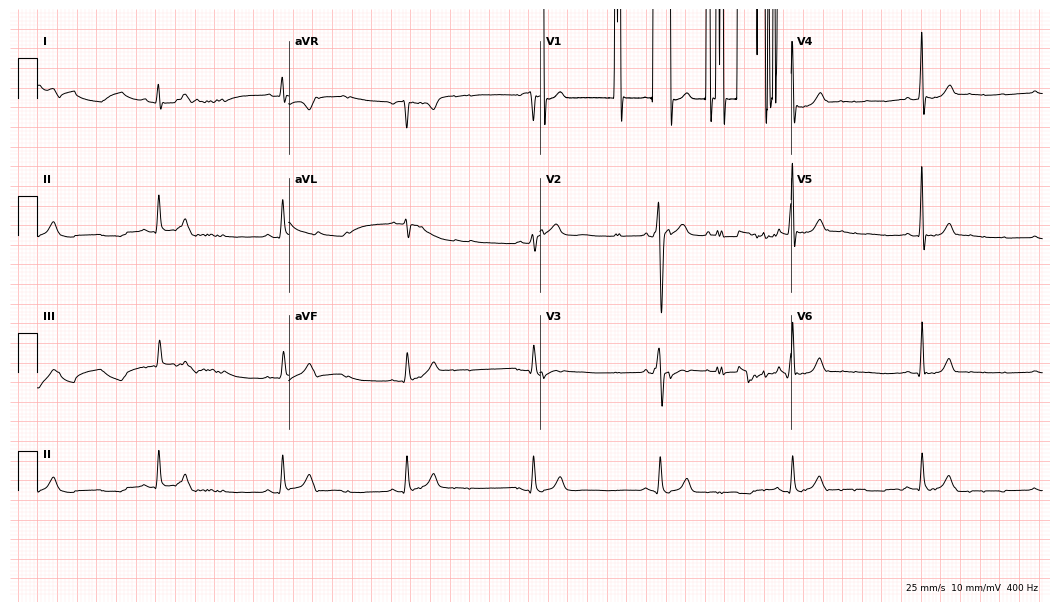
12-lead ECG from a 17-year-old man. No first-degree AV block, right bundle branch block, left bundle branch block, sinus bradycardia, atrial fibrillation or sinus tachycardia recorded for this tracing. Findings outside these six are not listed.